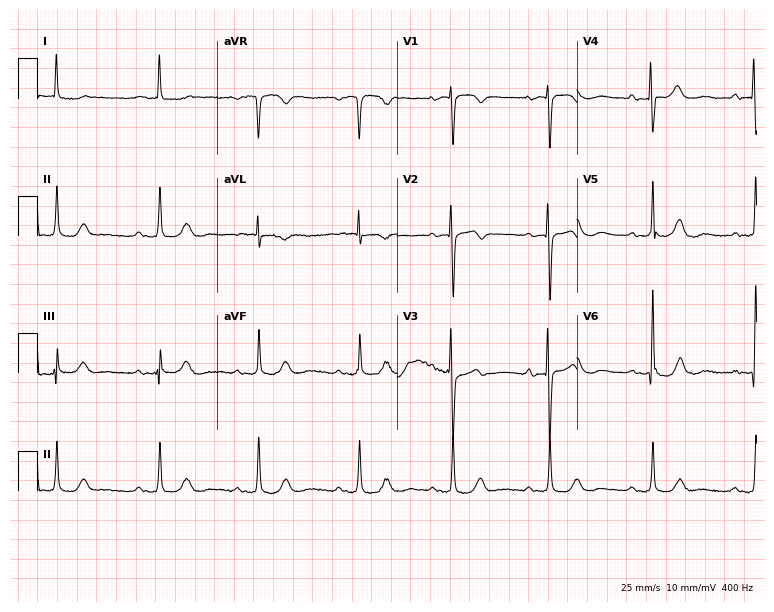
12-lead ECG from an 81-year-old female patient. Labelled as a normal ECG.